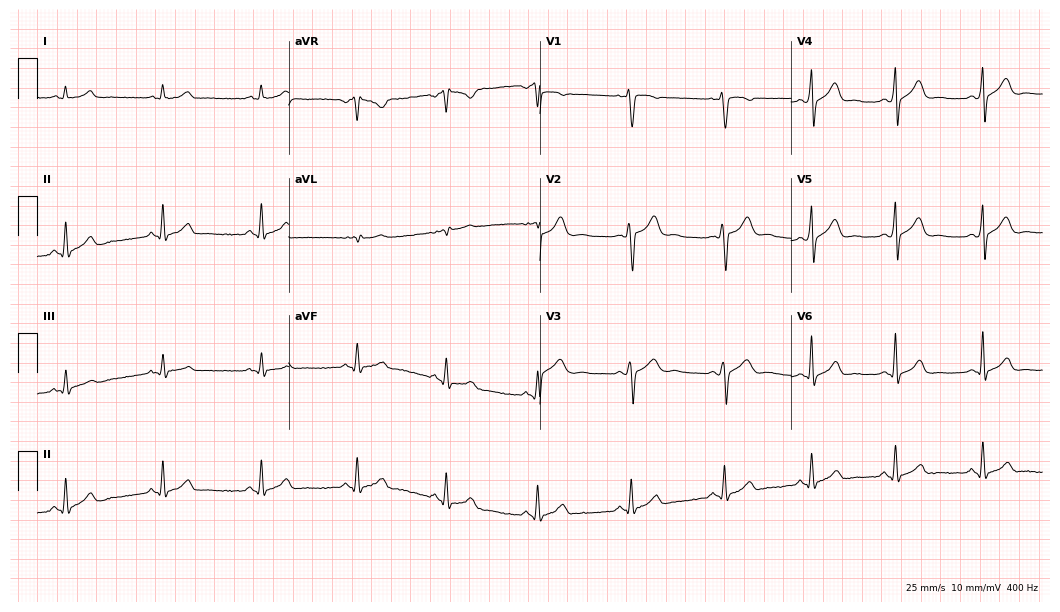
Electrocardiogram (10.2-second recording at 400 Hz), a male patient, 24 years old. Overall reading on record: normal ECG.